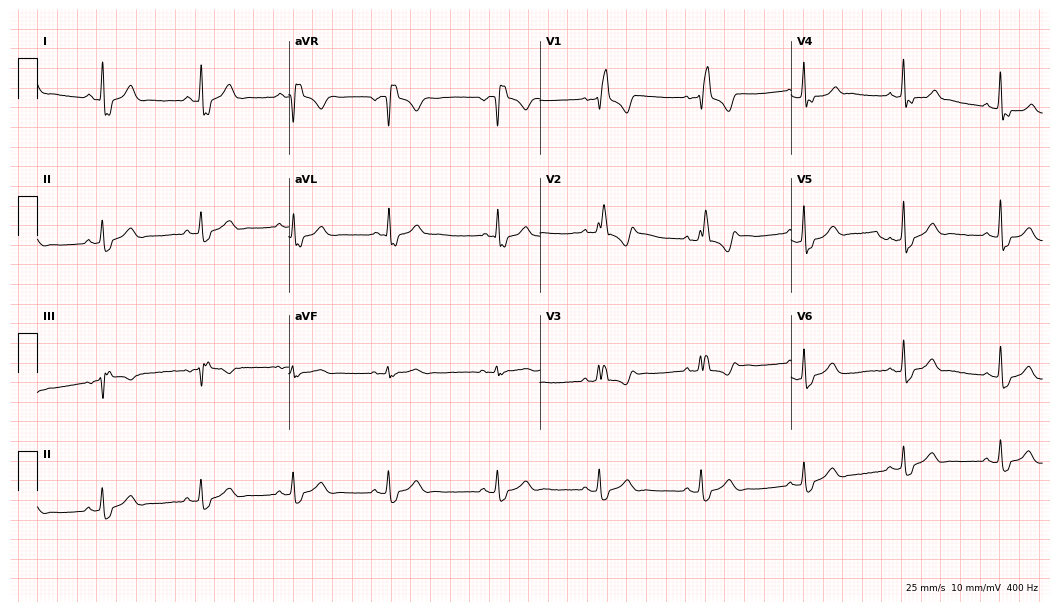
12-lead ECG from a male, 47 years old (10.2-second recording at 400 Hz). Shows right bundle branch block.